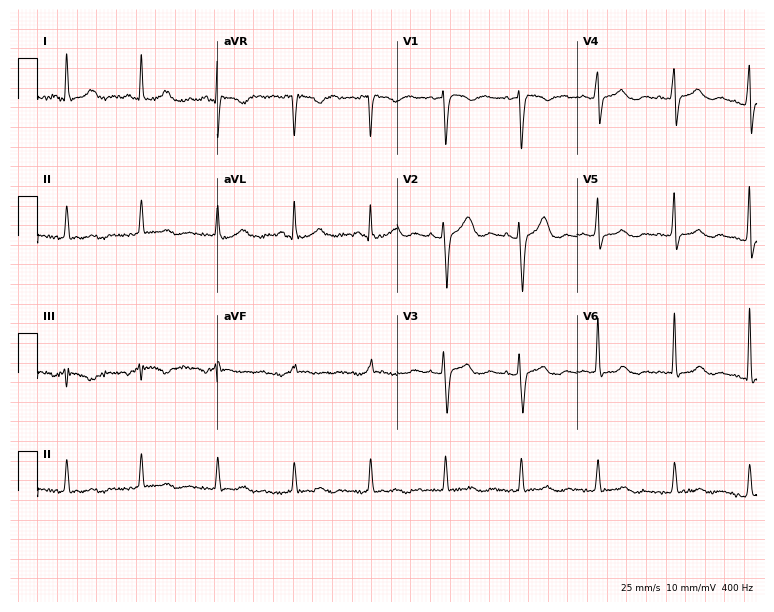
12-lead ECG from a female patient, 50 years old (7.3-second recording at 400 Hz). No first-degree AV block, right bundle branch block (RBBB), left bundle branch block (LBBB), sinus bradycardia, atrial fibrillation (AF) or sinus tachycardia recorded for this tracing. Findings outside these six are not listed.